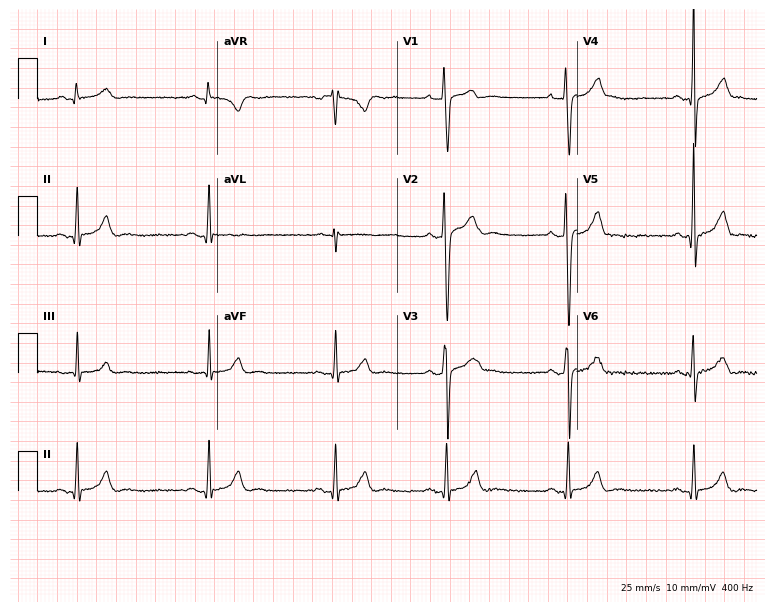
12-lead ECG from a 21-year-old man. Findings include sinus bradycardia (a sinus rate of 50 beats per minute or less).